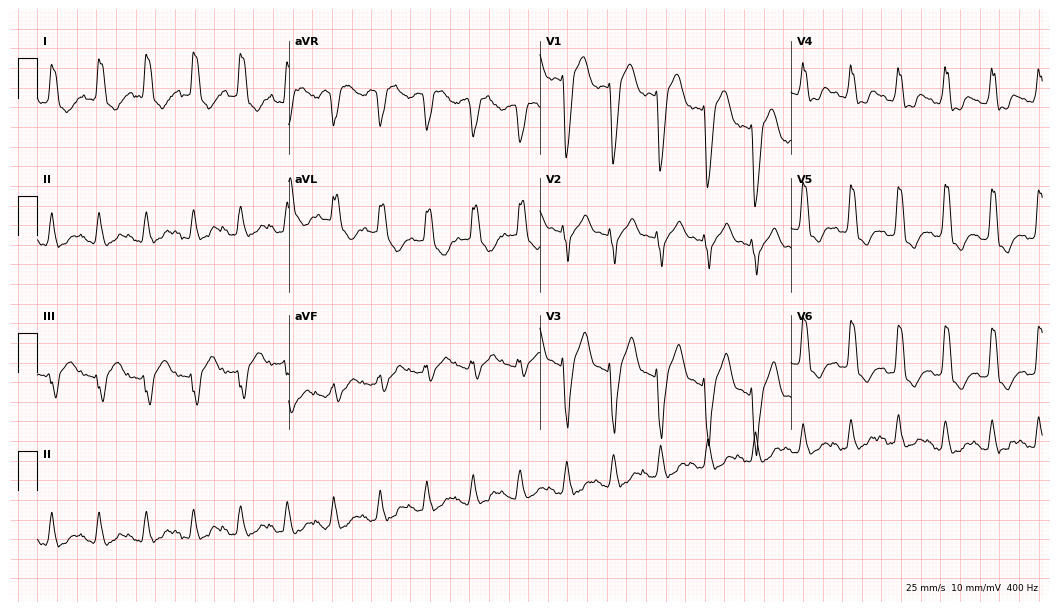
Resting 12-lead electrocardiogram. Patient: a female, 65 years old. The tracing shows left bundle branch block, sinus tachycardia (a sinus rate of 100 beats per minute or more).